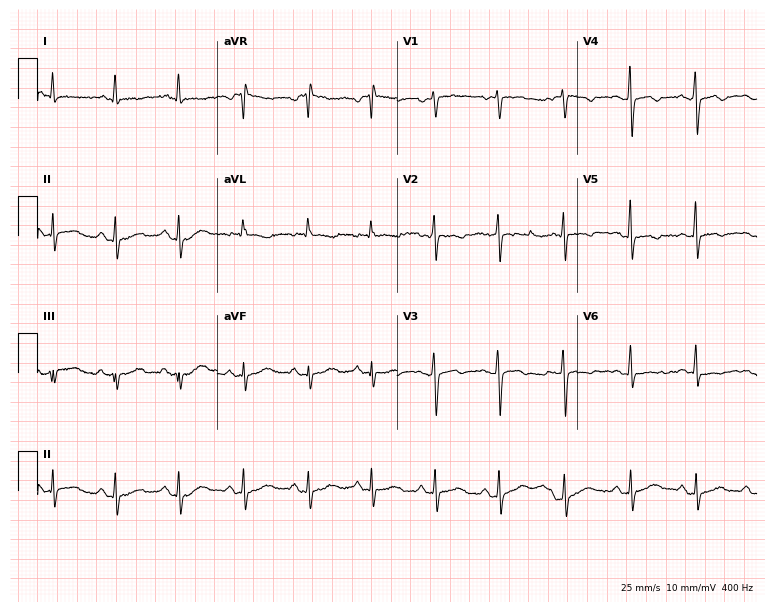
12-lead ECG from a 54-year-old female (7.3-second recording at 400 Hz). No first-degree AV block, right bundle branch block, left bundle branch block, sinus bradycardia, atrial fibrillation or sinus tachycardia recorded for this tracing.